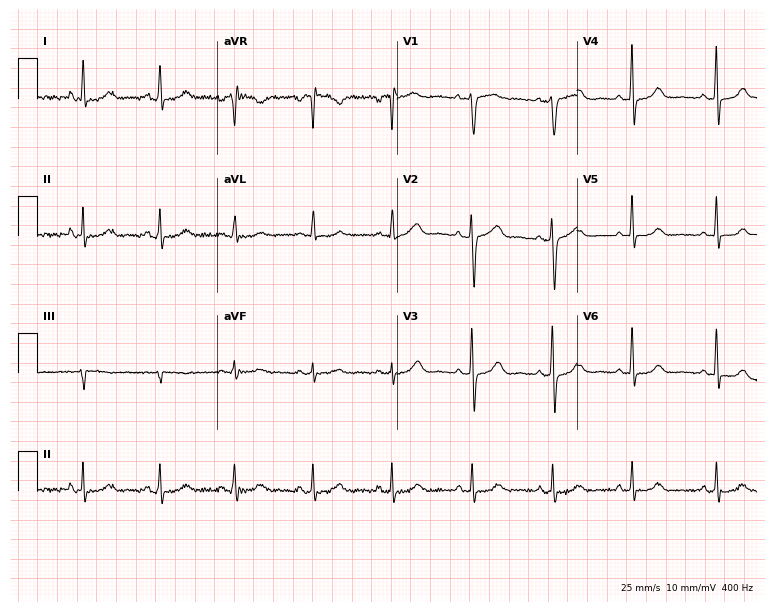
ECG — a female, 54 years old. Screened for six findings — first-degree AV block, right bundle branch block, left bundle branch block, sinus bradycardia, atrial fibrillation, sinus tachycardia — none is recorded. Findings outside these six are not listed.